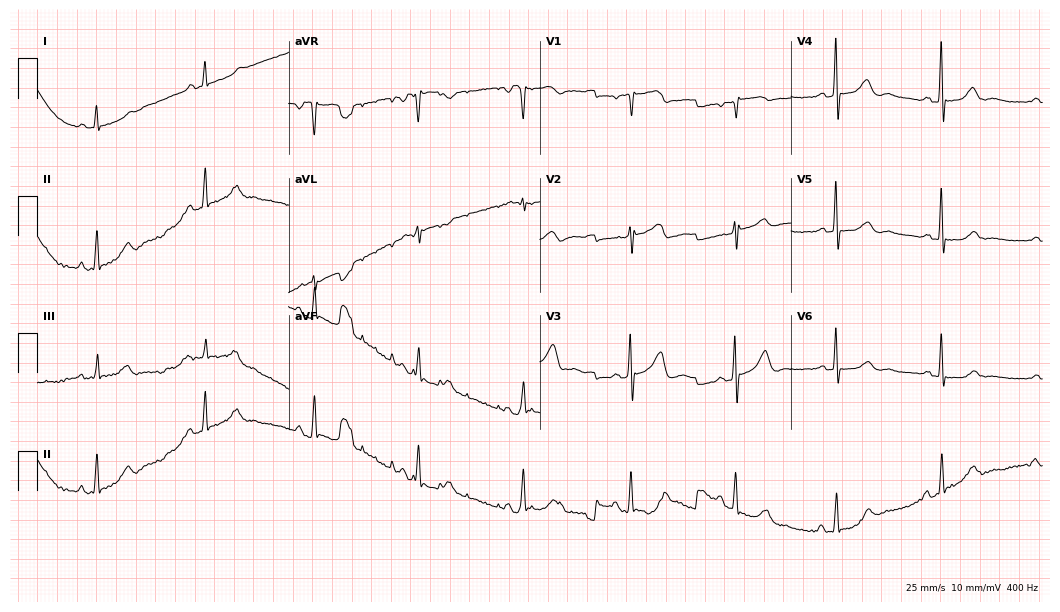
Resting 12-lead electrocardiogram (10.2-second recording at 400 Hz). Patient: a female, 53 years old. Read as a normal ECG.